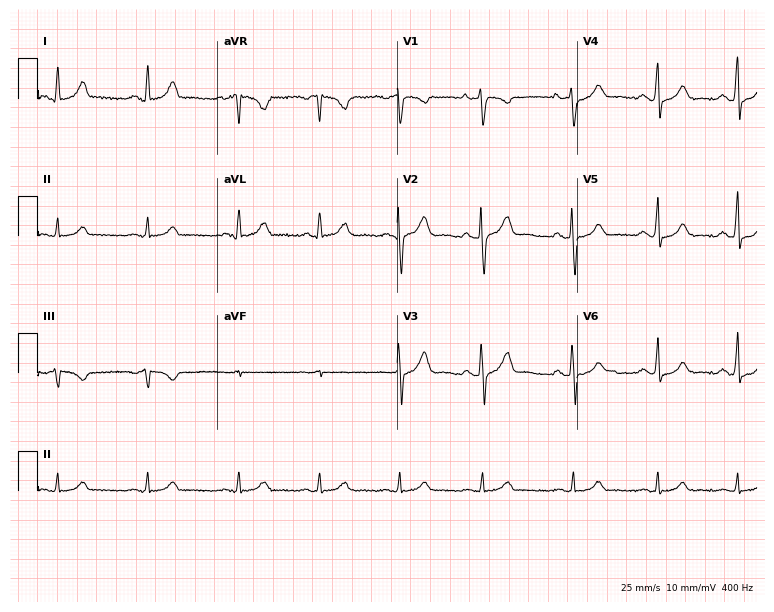
12-lead ECG from a female, 42 years old. Recorded interpretation: within normal limits.